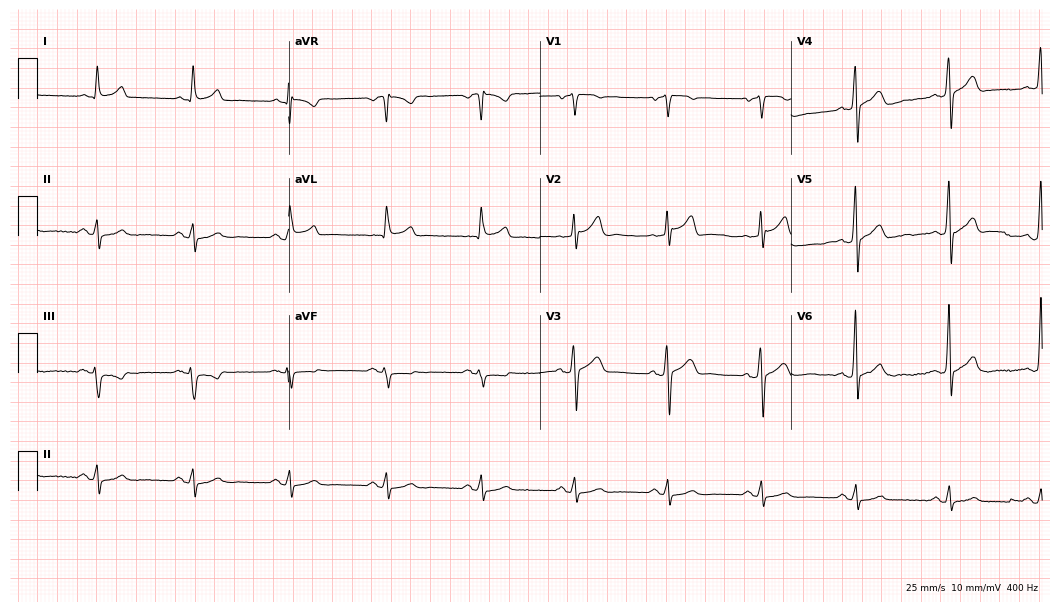
Standard 12-lead ECG recorded from a man, 61 years old (10.2-second recording at 400 Hz). Read as a normal ECG.